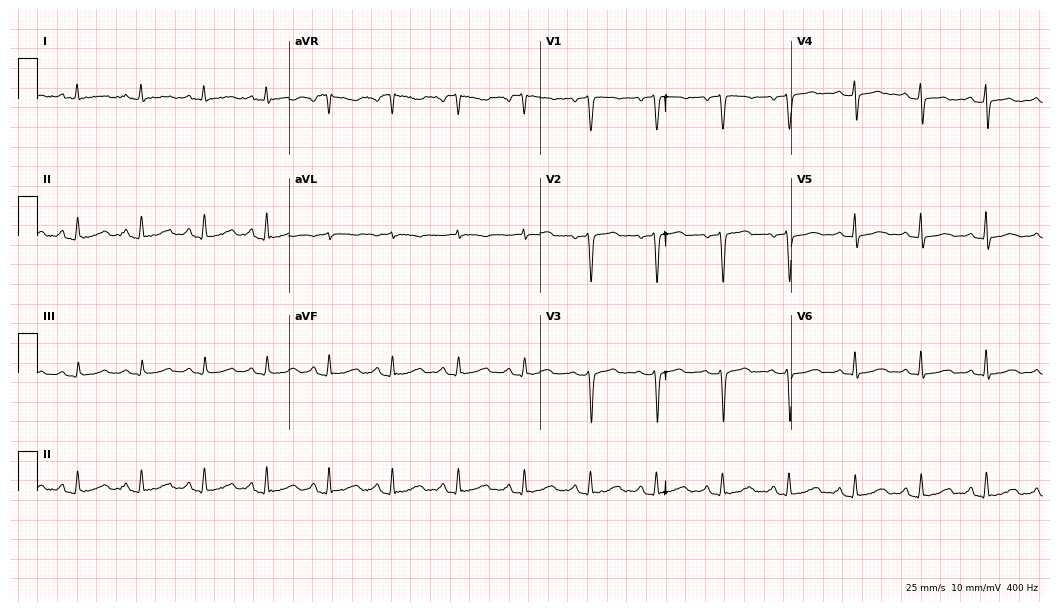
Electrocardiogram, a 64-year-old female. Of the six screened findings (first-degree AV block, right bundle branch block, left bundle branch block, sinus bradycardia, atrial fibrillation, sinus tachycardia), none is recorded. Other findings, if any, are not listed.